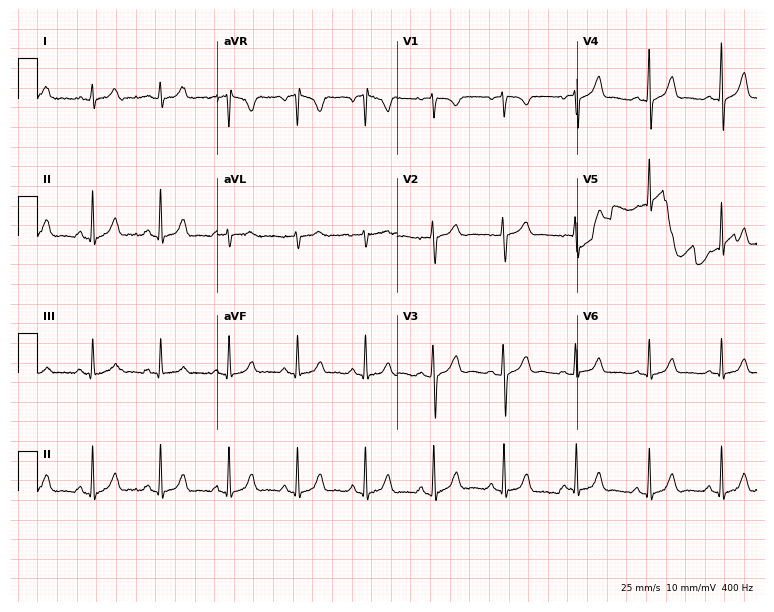
Standard 12-lead ECG recorded from a female, 30 years old (7.3-second recording at 400 Hz). Read as a normal ECG.